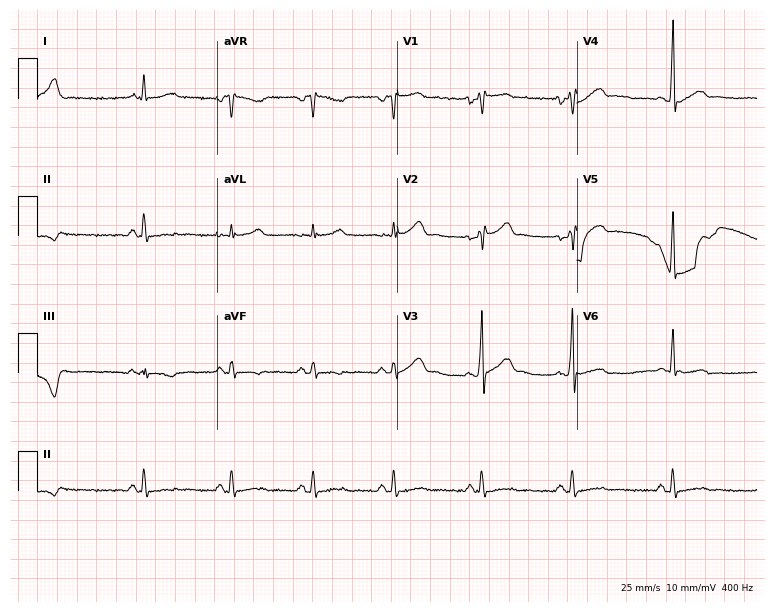
ECG — a male patient, 33 years old. Screened for six findings — first-degree AV block, right bundle branch block, left bundle branch block, sinus bradycardia, atrial fibrillation, sinus tachycardia — none is recorded.